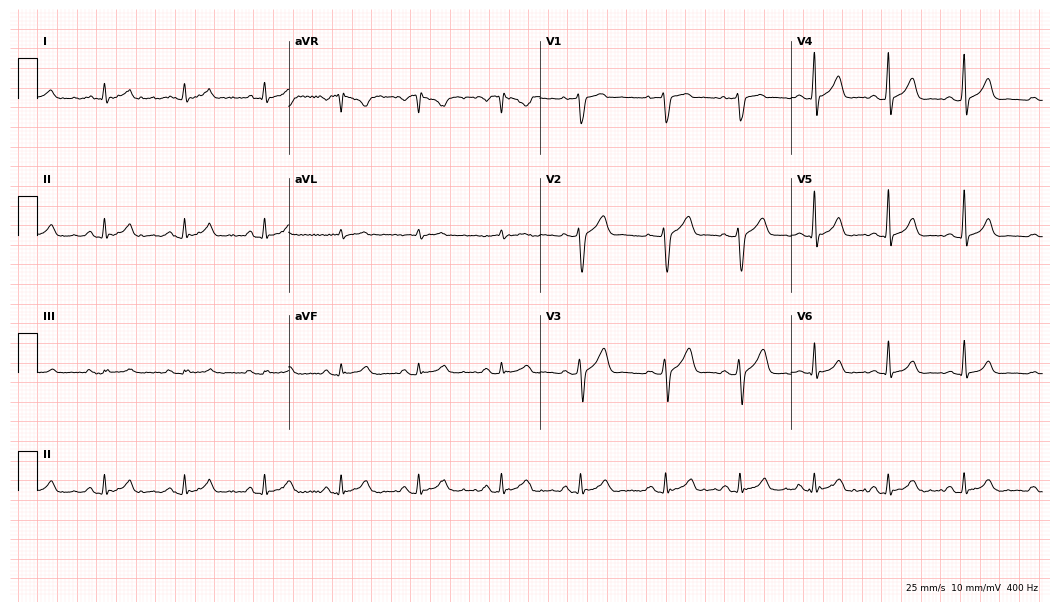
12-lead ECG from a man, 30 years old. Screened for six findings — first-degree AV block, right bundle branch block, left bundle branch block, sinus bradycardia, atrial fibrillation, sinus tachycardia — none is recorded.